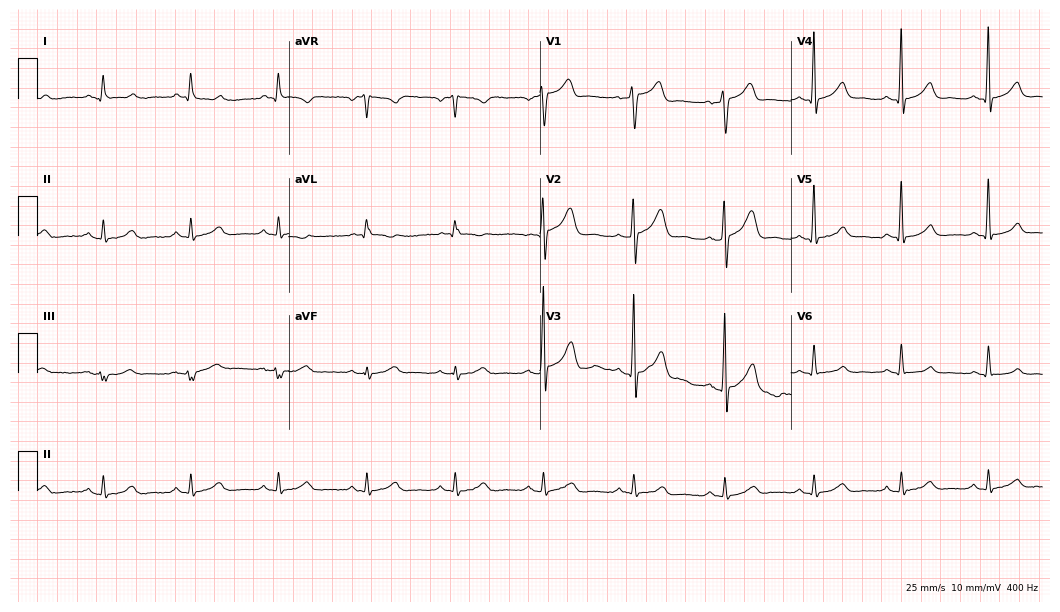
Electrocardiogram, a 49-year-old male patient. Overall reading on record: normal ECG.